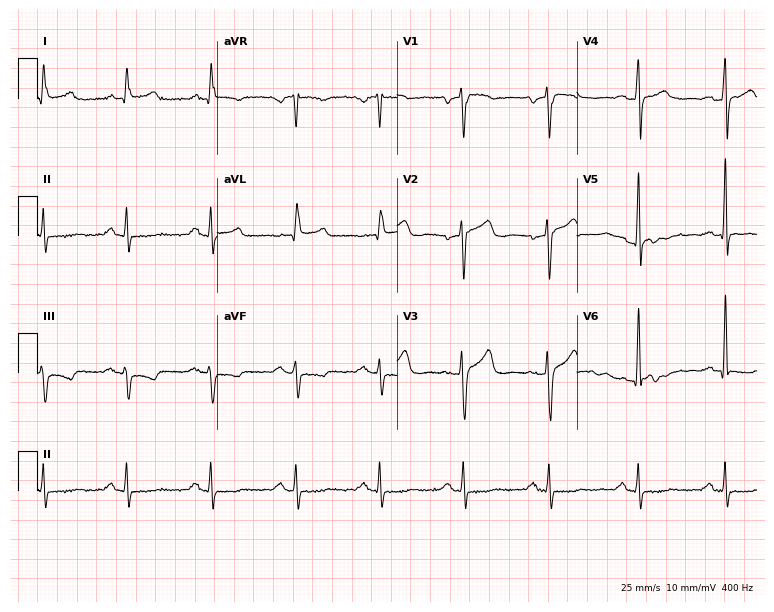
12-lead ECG from a man, 60 years old. No first-degree AV block, right bundle branch block, left bundle branch block, sinus bradycardia, atrial fibrillation or sinus tachycardia recorded for this tracing. Other findings, if any, are not listed.